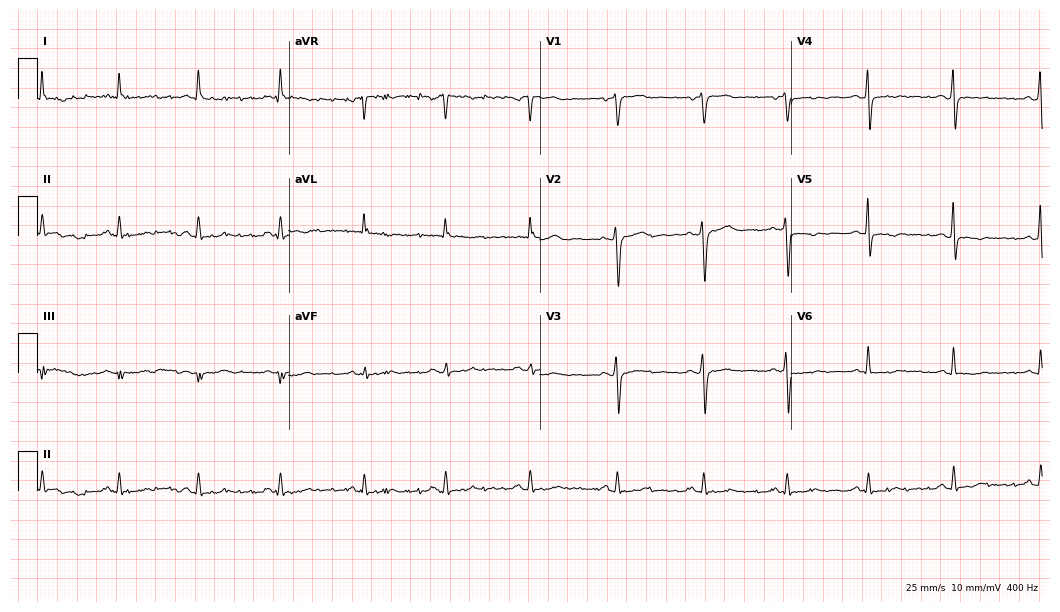
12-lead ECG from a 60-year-old female (10.2-second recording at 400 Hz). No first-degree AV block, right bundle branch block, left bundle branch block, sinus bradycardia, atrial fibrillation or sinus tachycardia recorded for this tracing.